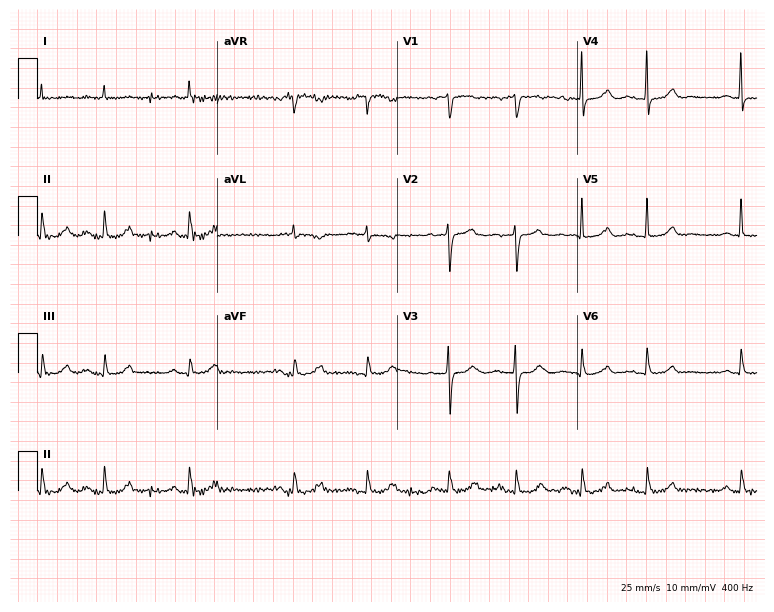
ECG (7.3-second recording at 400 Hz) — a female patient, 72 years old. Screened for six findings — first-degree AV block, right bundle branch block, left bundle branch block, sinus bradycardia, atrial fibrillation, sinus tachycardia — none is recorded.